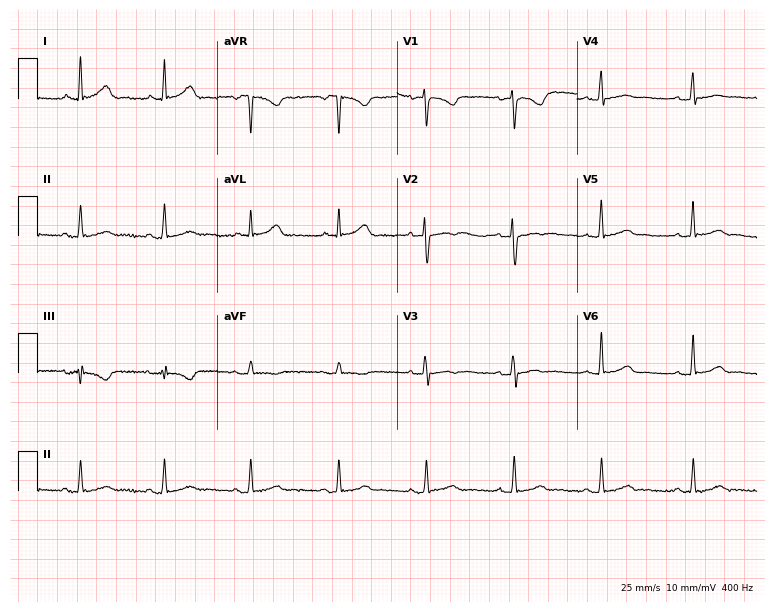
12-lead ECG (7.3-second recording at 400 Hz) from a female, 47 years old. Screened for six findings — first-degree AV block, right bundle branch block, left bundle branch block, sinus bradycardia, atrial fibrillation, sinus tachycardia — none is recorded. Only these six findings were labelled.